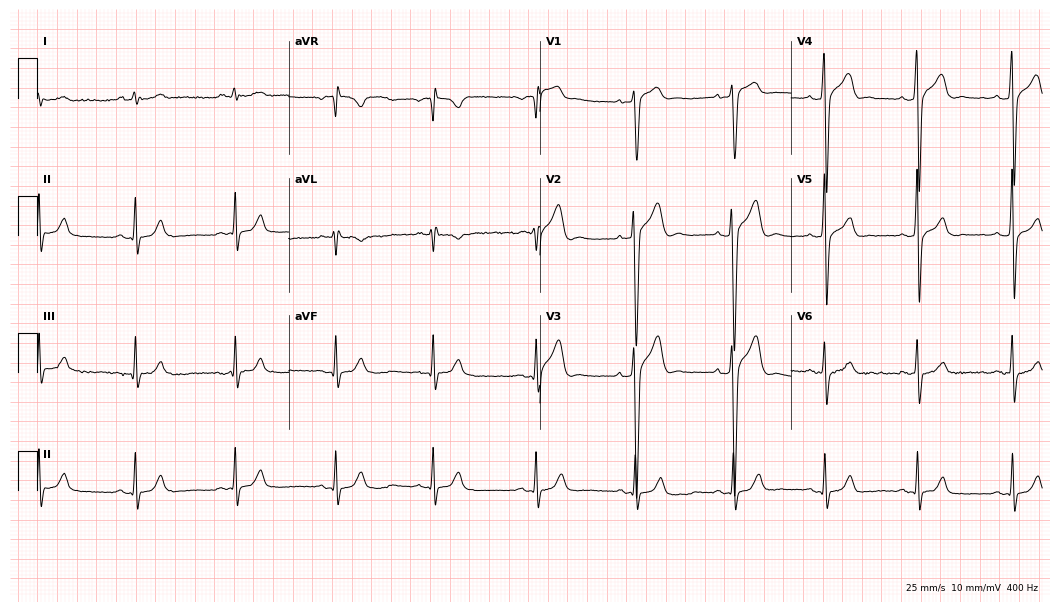
ECG (10.2-second recording at 400 Hz) — a man, 19 years old. Labelled as a normal ECG.